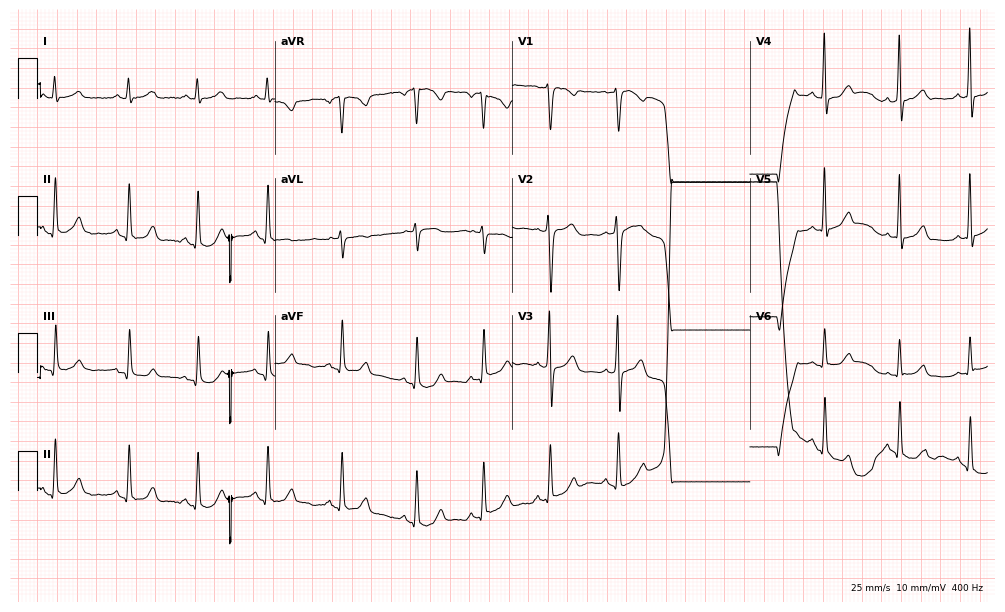
12-lead ECG (9.7-second recording at 400 Hz) from a woman, 26 years old. Labelled as a normal ECG.